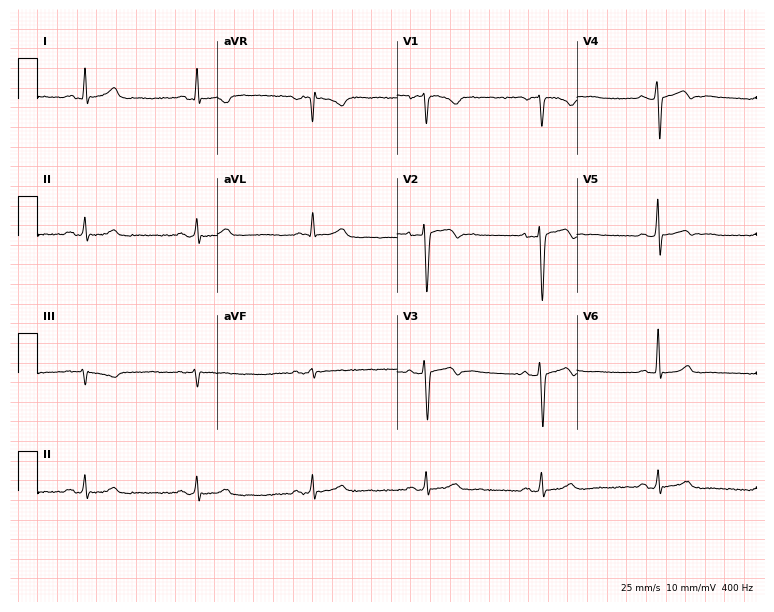
12-lead ECG from a man, 41 years old (7.3-second recording at 400 Hz). No first-degree AV block, right bundle branch block, left bundle branch block, sinus bradycardia, atrial fibrillation or sinus tachycardia recorded for this tracing.